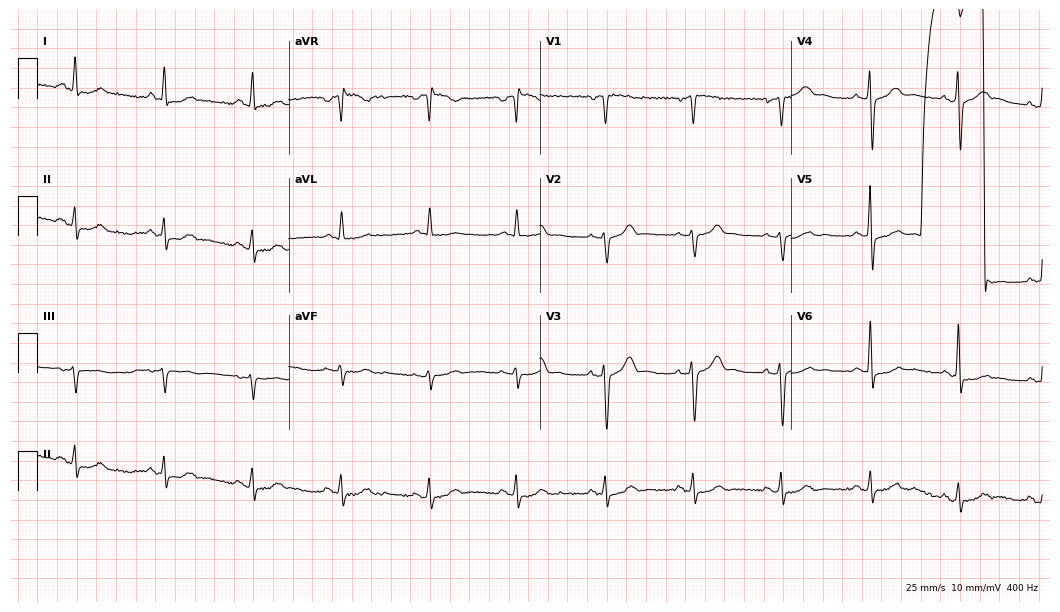
Standard 12-lead ECG recorded from a man, 62 years old. Read as a normal ECG.